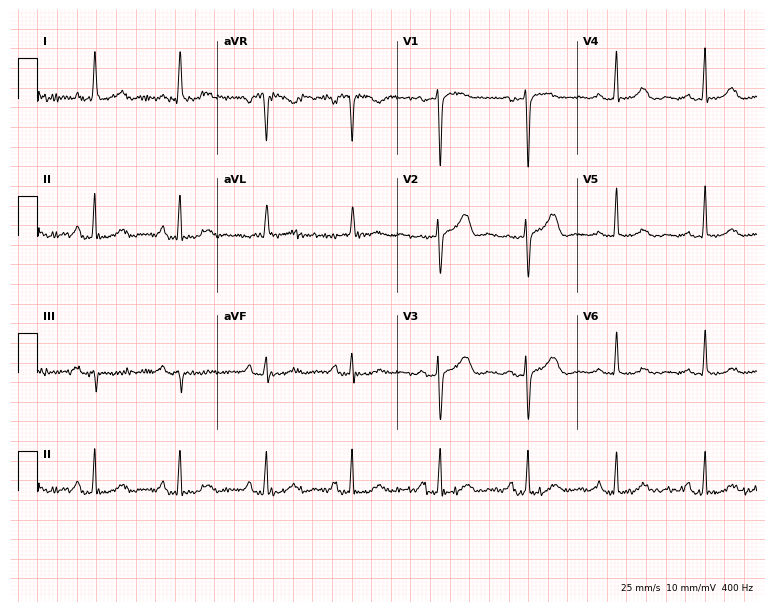
Electrocardiogram (7.3-second recording at 400 Hz), a 55-year-old female. Of the six screened findings (first-degree AV block, right bundle branch block, left bundle branch block, sinus bradycardia, atrial fibrillation, sinus tachycardia), none is recorded. Other findings, if any, are not listed.